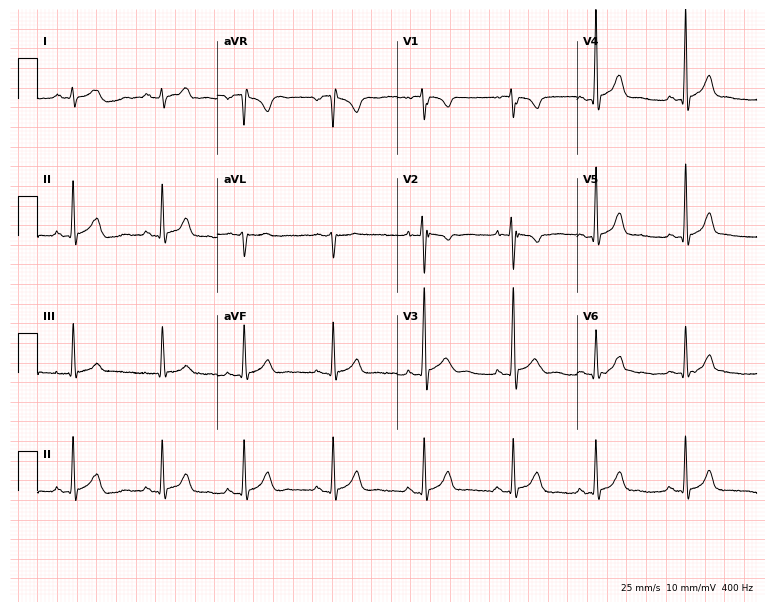
Standard 12-lead ECG recorded from a 17-year-old male. Read as a normal ECG.